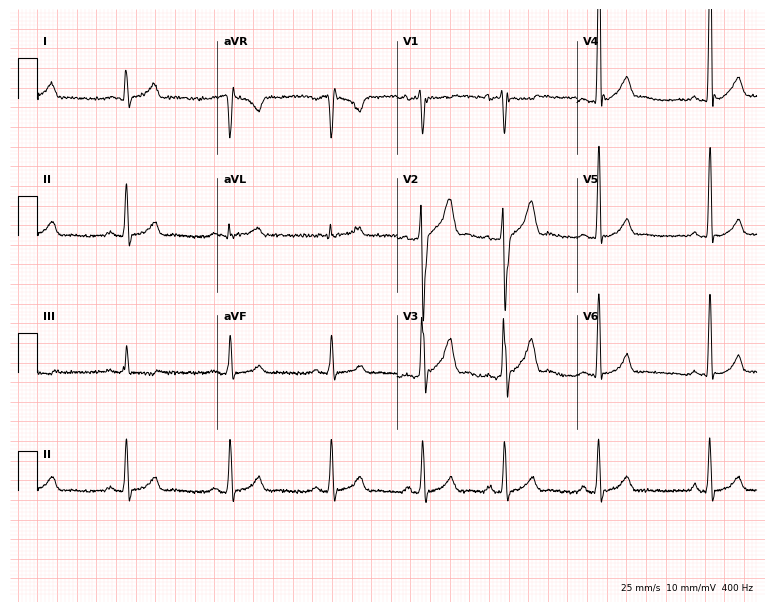
Electrocardiogram, a 30-year-old man. Overall reading on record: normal ECG.